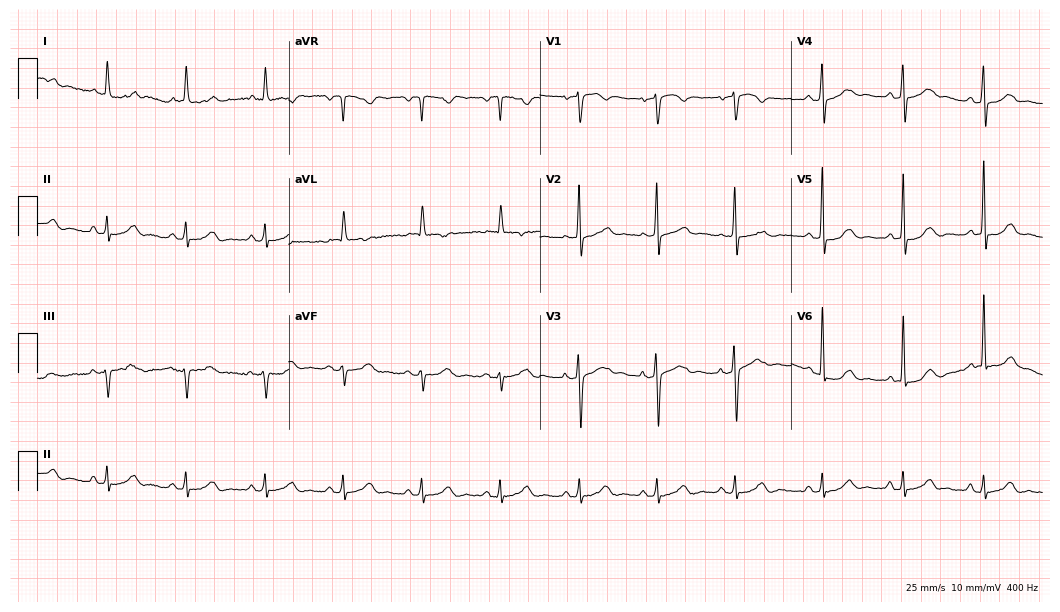
12-lead ECG from an 83-year-old female patient. Labelled as a normal ECG.